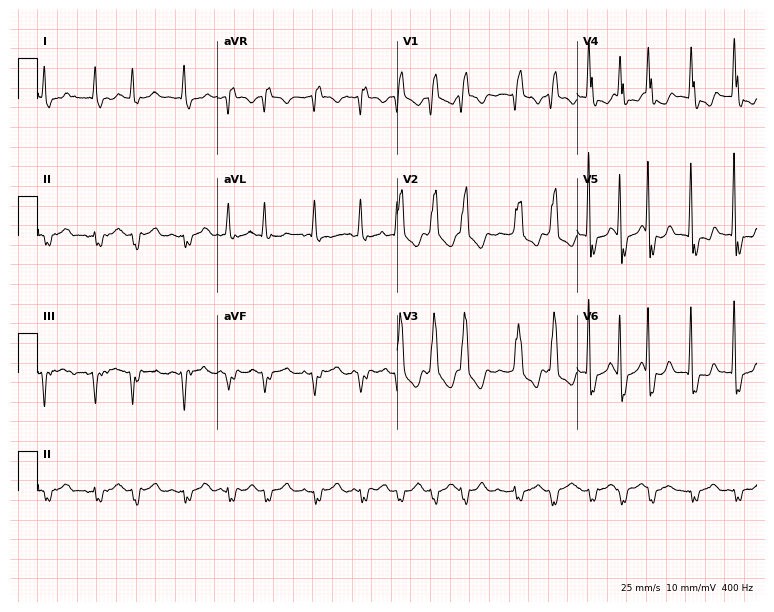
Electrocardiogram (7.3-second recording at 400 Hz), a man, 74 years old. Of the six screened findings (first-degree AV block, right bundle branch block (RBBB), left bundle branch block (LBBB), sinus bradycardia, atrial fibrillation (AF), sinus tachycardia), none is recorded.